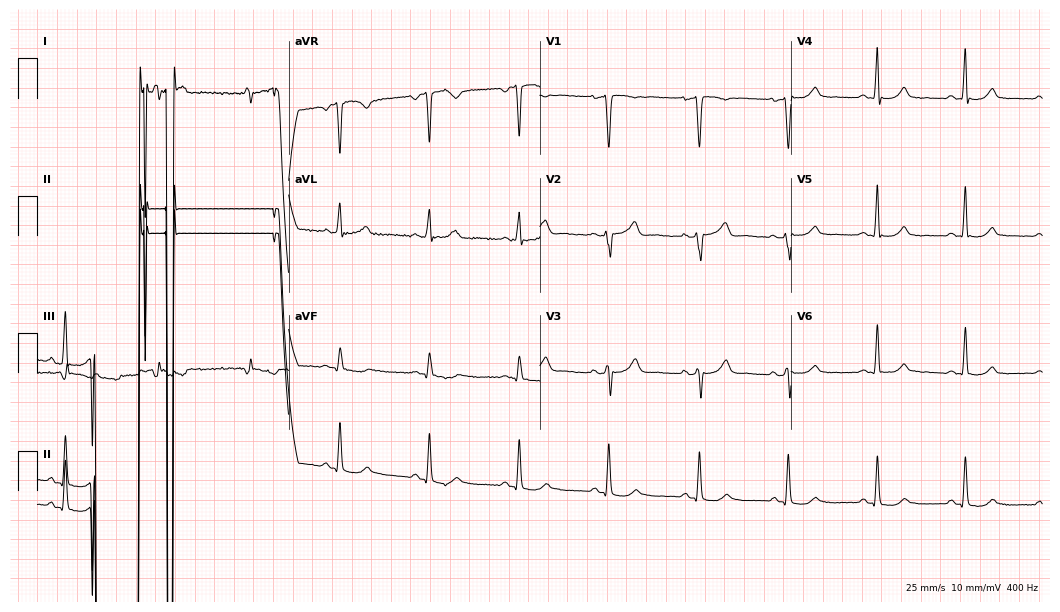
ECG (10.2-second recording at 400 Hz) — a 34-year-old female patient. Screened for six findings — first-degree AV block, right bundle branch block, left bundle branch block, sinus bradycardia, atrial fibrillation, sinus tachycardia — none is recorded.